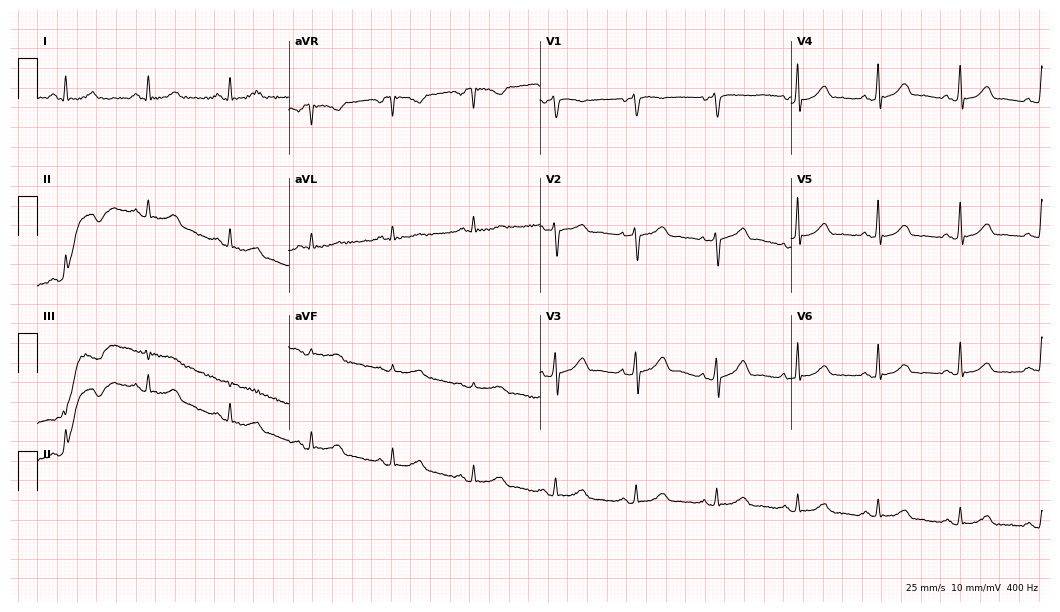
Resting 12-lead electrocardiogram. Patient: a 65-year-old male. Read as a normal ECG.